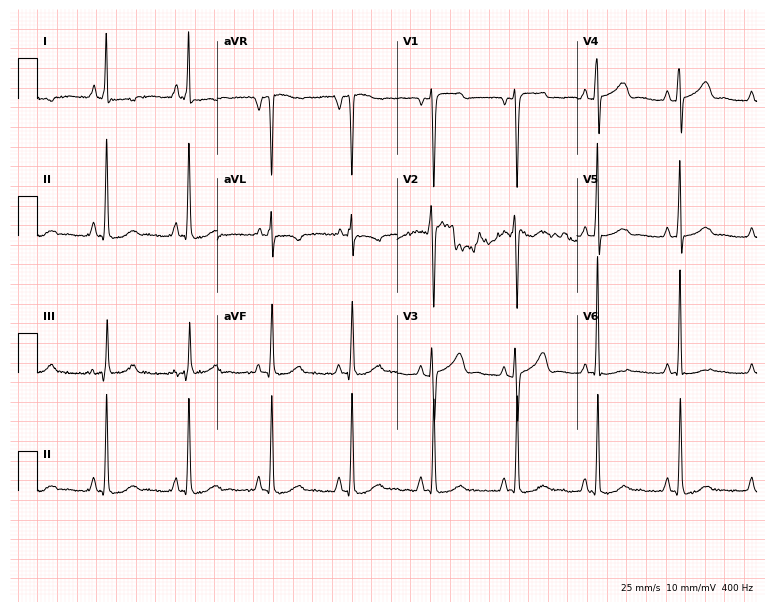
ECG — a 19-year-old female. Screened for six findings — first-degree AV block, right bundle branch block (RBBB), left bundle branch block (LBBB), sinus bradycardia, atrial fibrillation (AF), sinus tachycardia — none is recorded. Findings outside these six are not listed.